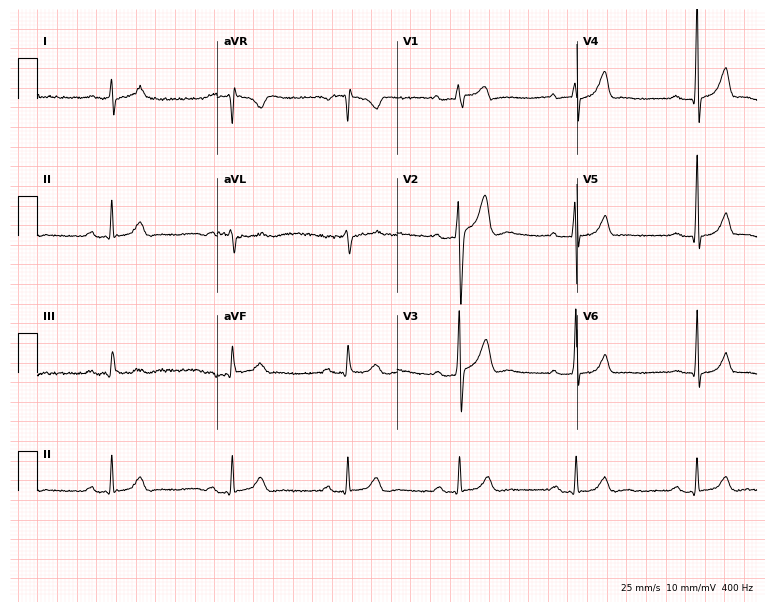
Standard 12-lead ECG recorded from a man, 33 years old (7.3-second recording at 400 Hz). None of these six findings is recorded: first-degree AV block, right bundle branch block, left bundle branch block, sinus bradycardia, atrial fibrillation, sinus tachycardia.